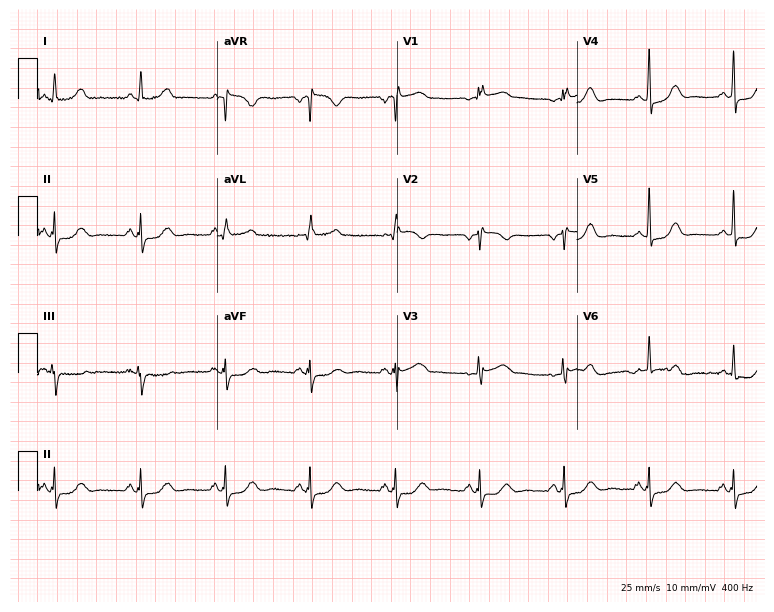
Electrocardiogram, a female, 64 years old. Of the six screened findings (first-degree AV block, right bundle branch block (RBBB), left bundle branch block (LBBB), sinus bradycardia, atrial fibrillation (AF), sinus tachycardia), none is recorded.